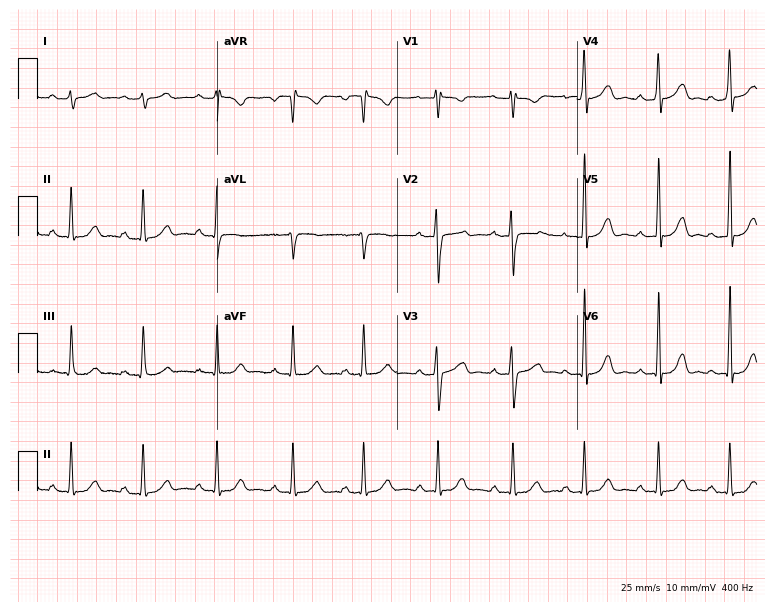
Resting 12-lead electrocardiogram. Patient: a 23-year-old female. None of these six findings is recorded: first-degree AV block, right bundle branch block (RBBB), left bundle branch block (LBBB), sinus bradycardia, atrial fibrillation (AF), sinus tachycardia.